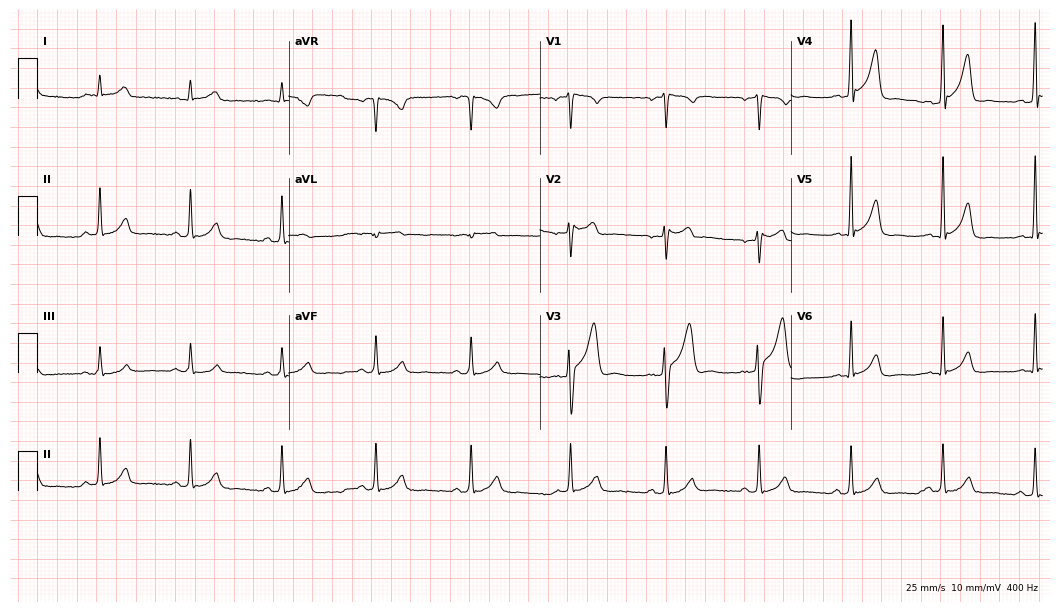
Resting 12-lead electrocardiogram (10.2-second recording at 400 Hz). Patient: a male, 52 years old. Read as a normal ECG.